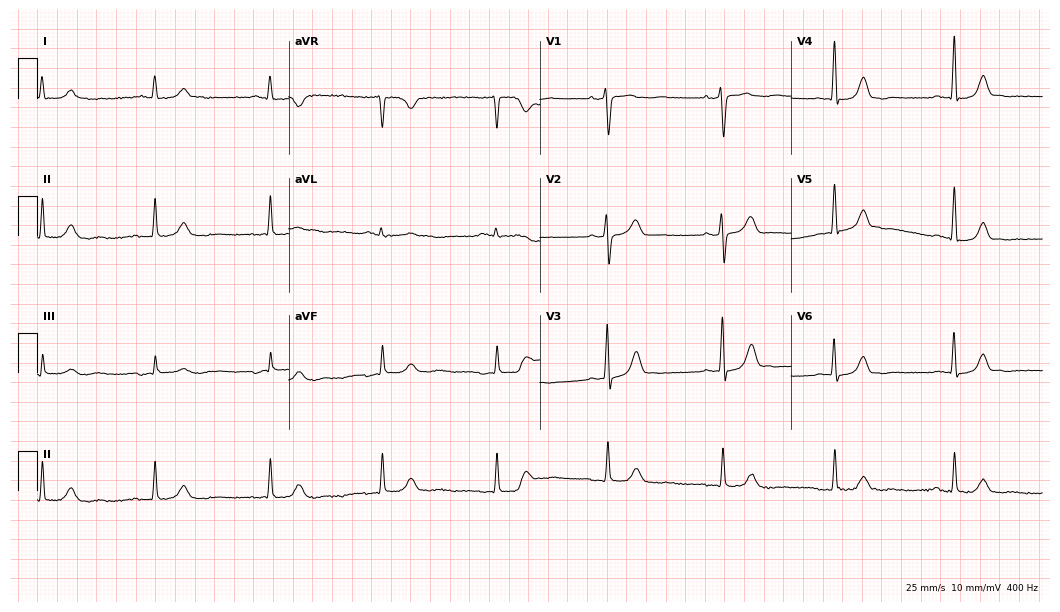
ECG — a female, 82 years old. Screened for six findings — first-degree AV block, right bundle branch block, left bundle branch block, sinus bradycardia, atrial fibrillation, sinus tachycardia — none is recorded.